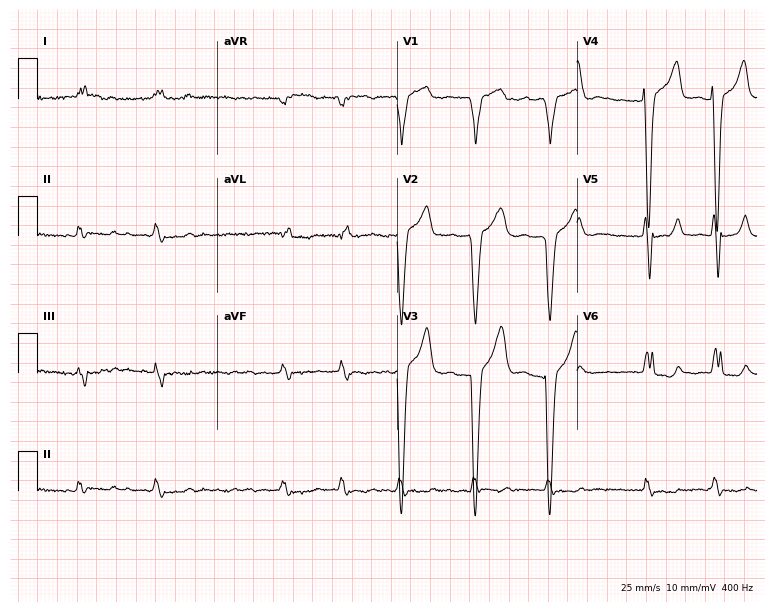
Standard 12-lead ECG recorded from a man, 78 years old (7.3-second recording at 400 Hz). The tracing shows left bundle branch block, atrial fibrillation.